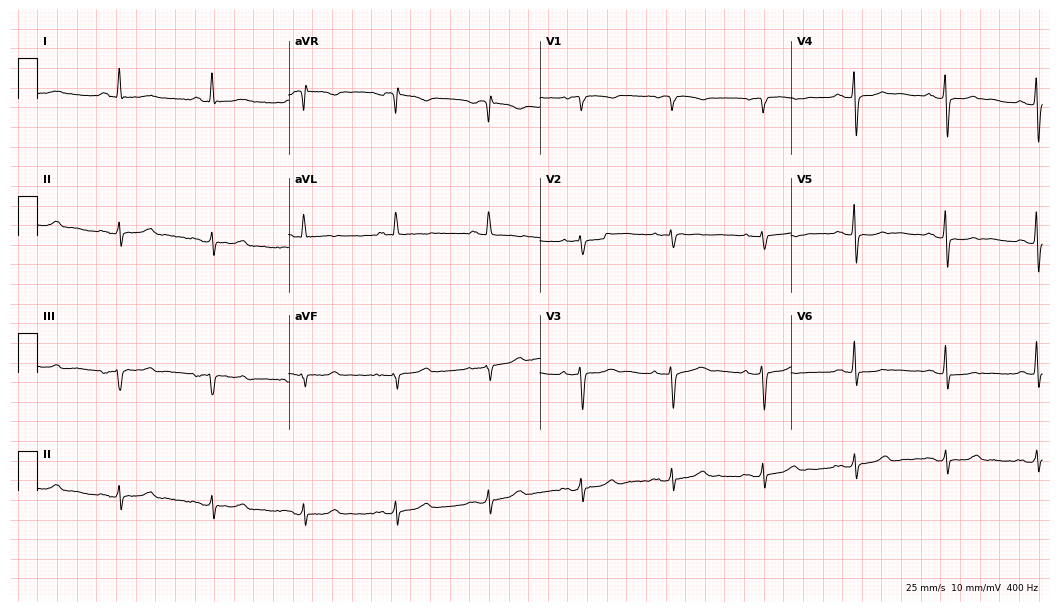
Standard 12-lead ECG recorded from a female, 64 years old. None of these six findings is recorded: first-degree AV block, right bundle branch block, left bundle branch block, sinus bradycardia, atrial fibrillation, sinus tachycardia. Findings outside these six are not listed.